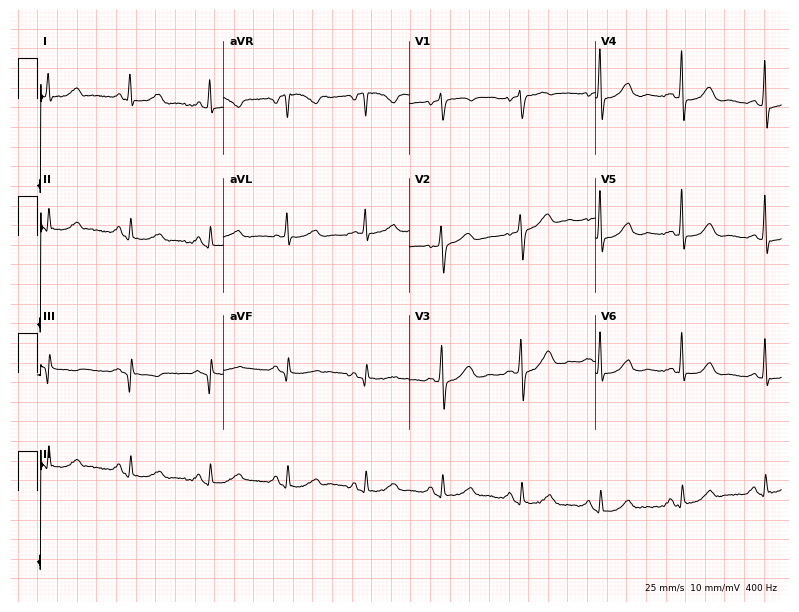
ECG — a female, 67 years old. Screened for six findings — first-degree AV block, right bundle branch block (RBBB), left bundle branch block (LBBB), sinus bradycardia, atrial fibrillation (AF), sinus tachycardia — none is recorded. Other findings, if any, are not listed.